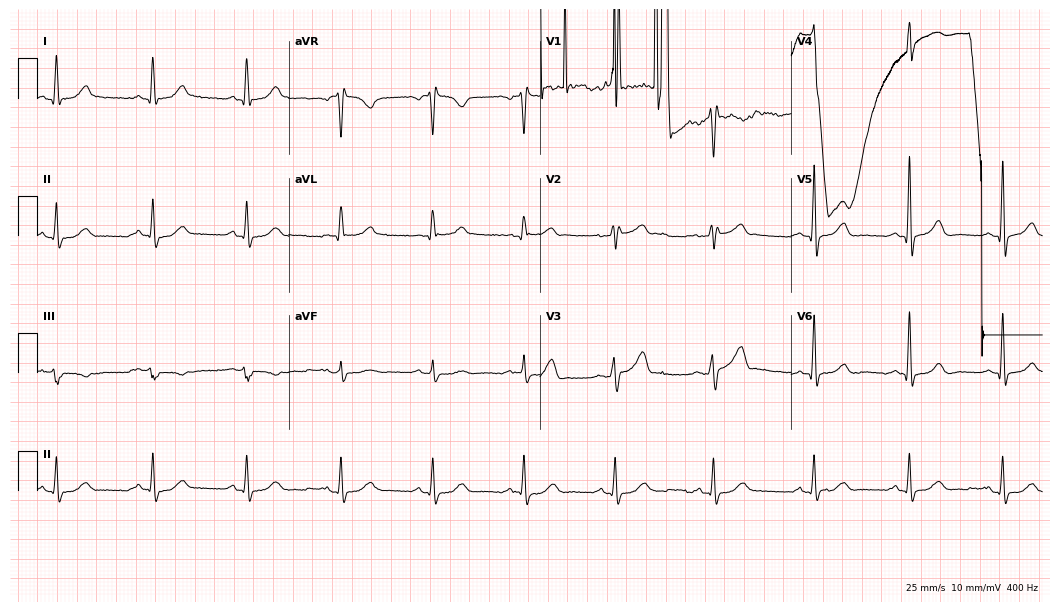
Electrocardiogram (10.2-second recording at 400 Hz), a male patient, 44 years old. Of the six screened findings (first-degree AV block, right bundle branch block, left bundle branch block, sinus bradycardia, atrial fibrillation, sinus tachycardia), none is recorded. Other findings, if any, are not listed.